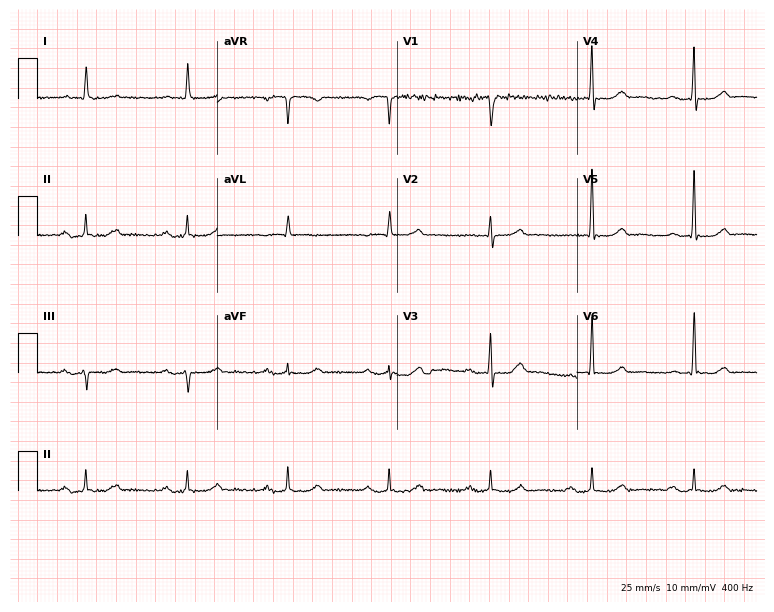
Standard 12-lead ECG recorded from an 82-year-old man (7.3-second recording at 400 Hz). Read as a normal ECG.